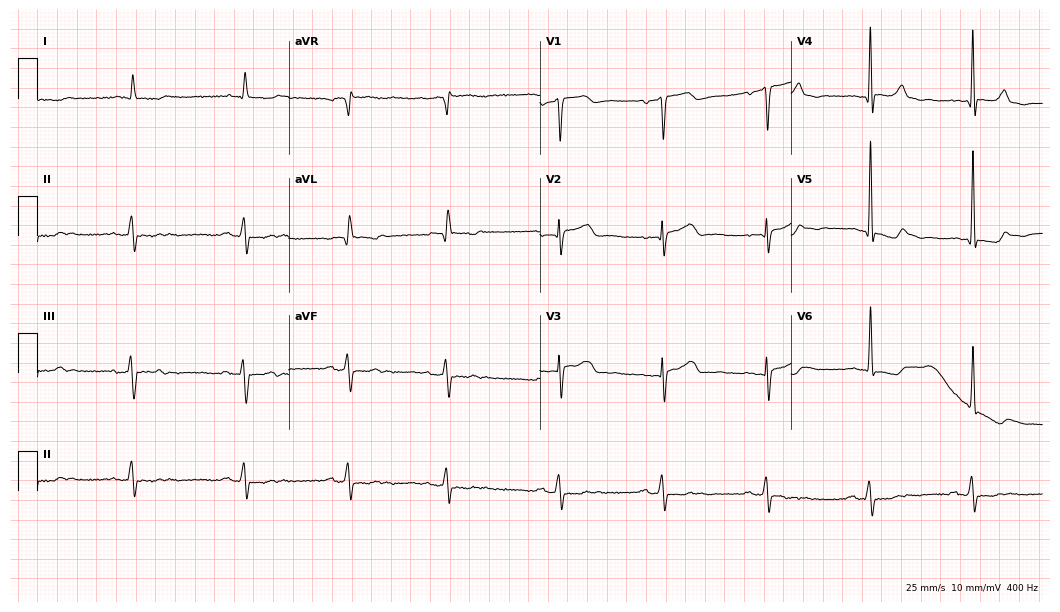
12-lead ECG (10.2-second recording at 400 Hz) from a male patient, 81 years old. Screened for six findings — first-degree AV block, right bundle branch block, left bundle branch block, sinus bradycardia, atrial fibrillation, sinus tachycardia — none is recorded. Only these six findings were labelled.